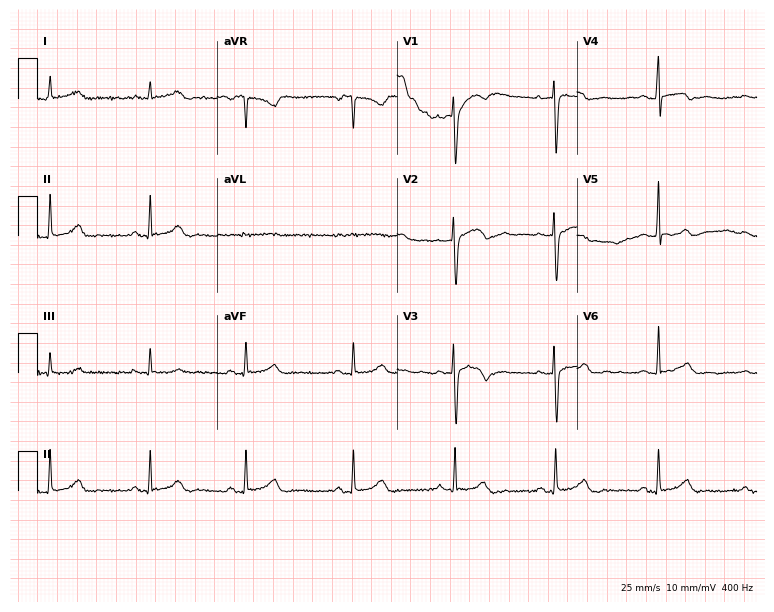
Resting 12-lead electrocardiogram (7.3-second recording at 400 Hz). Patient: a 28-year-old female. Read as a normal ECG.